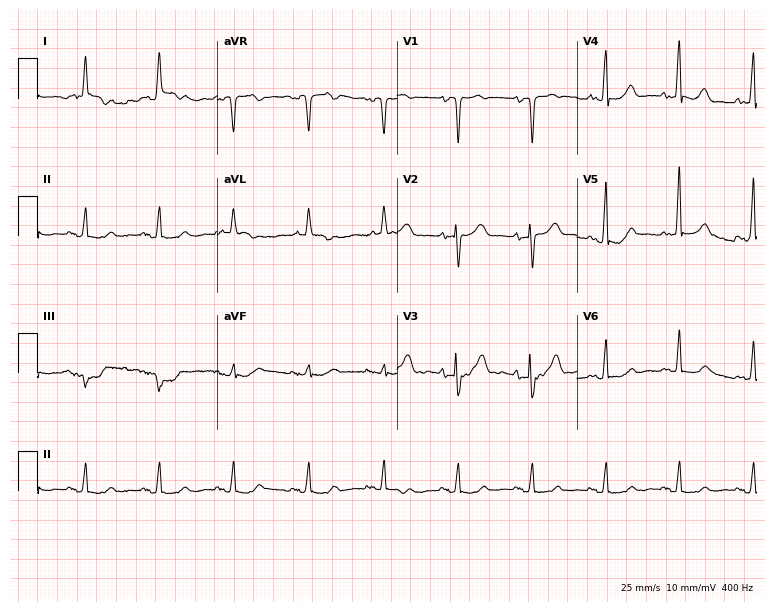
12-lead ECG from a female, 80 years old. No first-degree AV block, right bundle branch block, left bundle branch block, sinus bradycardia, atrial fibrillation or sinus tachycardia recorded for this tracing. Other findings, if any, are not listed.